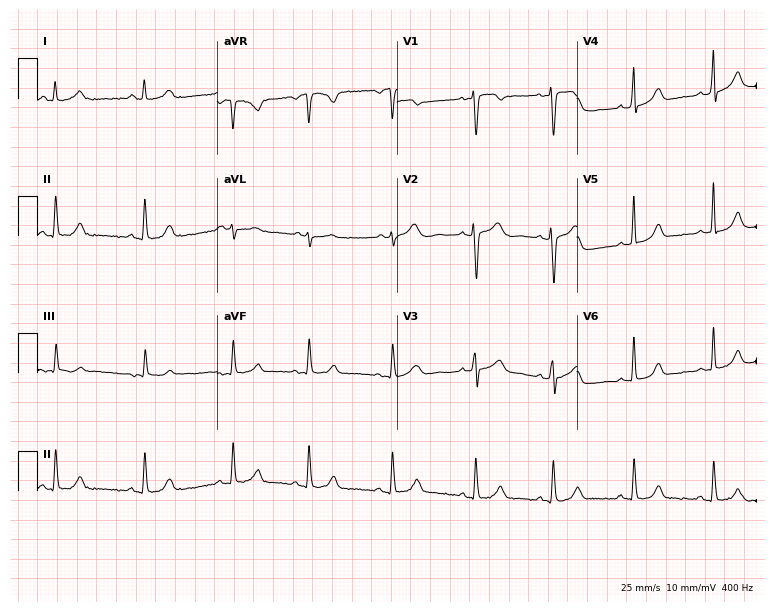
12-lead ECG from a woman, 27 years old. No first-degree AV block, right bundle branch block (RBBB), left bundle branch block (LBBB), sinus bradycardia, atrial fibrillation (AF) or sinus tachycardia recorded for this tracing.